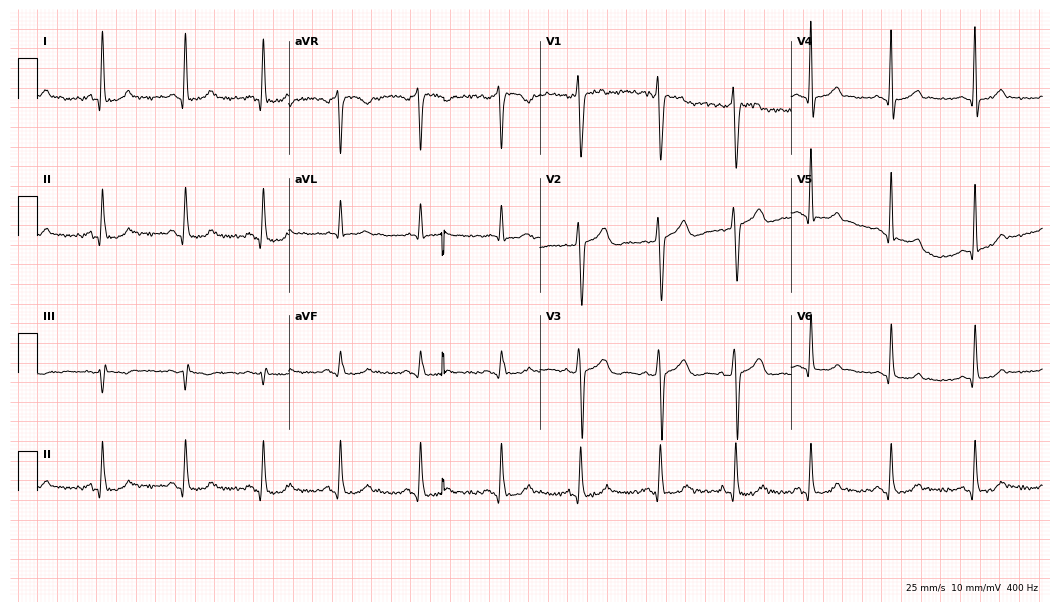
Resting 12-lead electrocardiogram (10.2-second recording at 400 Hz). Patient: a 27-year-old female. Read as a normal ECG.